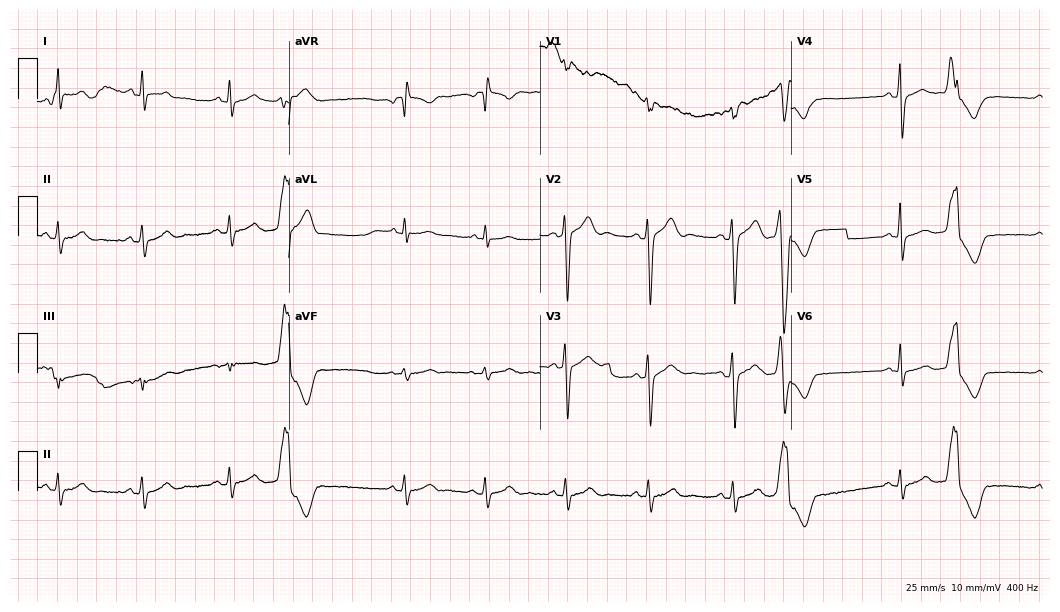
12-lead ECG from a man, 29 years old (10.2-second recording at 400 Hz). No first-degree AV block, right bundle branch block (RBBB), left bundle branch block (LBBB), sinus bradycardia, atrial fibrillation (AF) or sinus tachycardia recorded for this tracing.